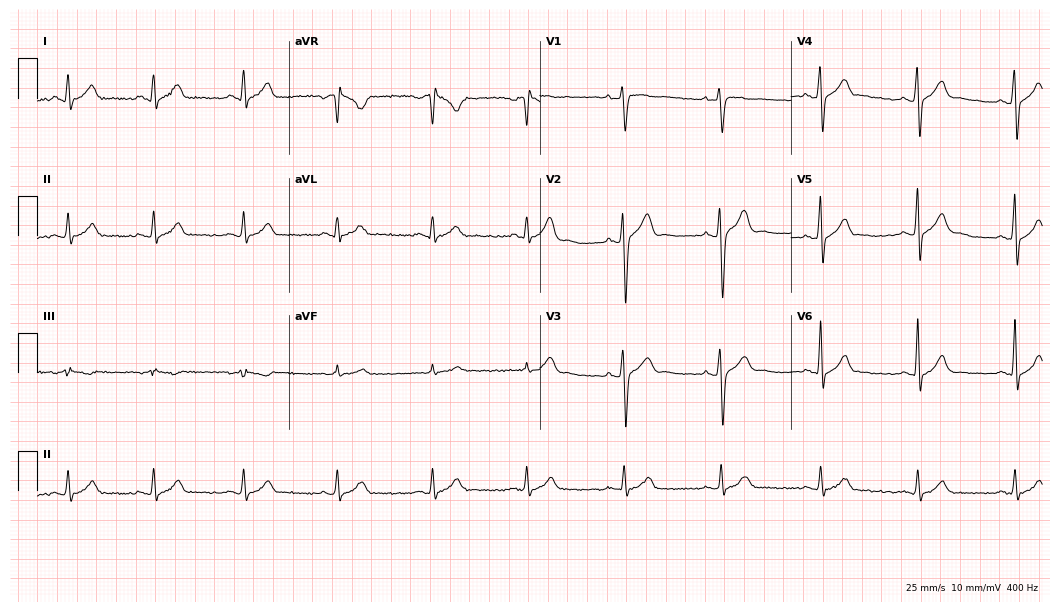
12-lead ECG from a 31-year-old male (10.2-second recording at 400 Hz). Recorded interpretation: within normal limits.